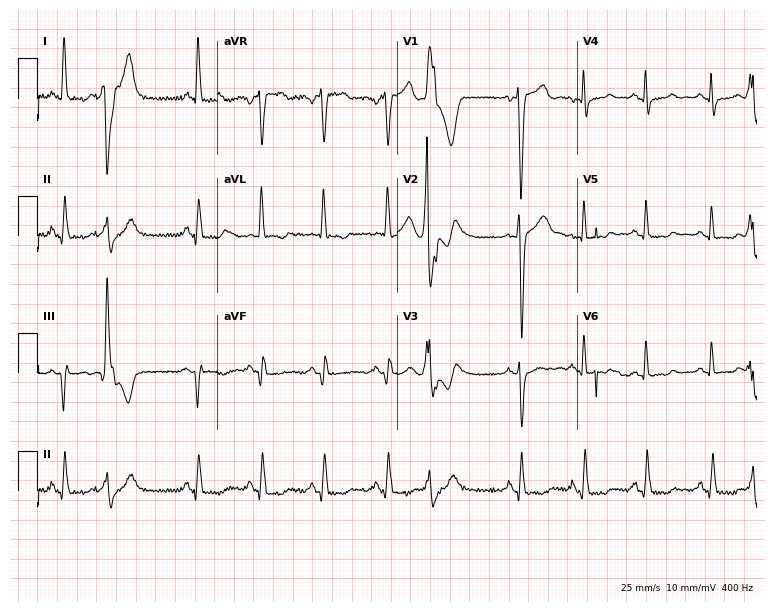
ECG — a woman, 63 years old. Screened for six findings — first-degree AV block, right bundle branch block, left bundle branch block, sinus bradycardia, atrial fibrillation, sinus tachycardia — none is recorded. Only these six findings were labelled.